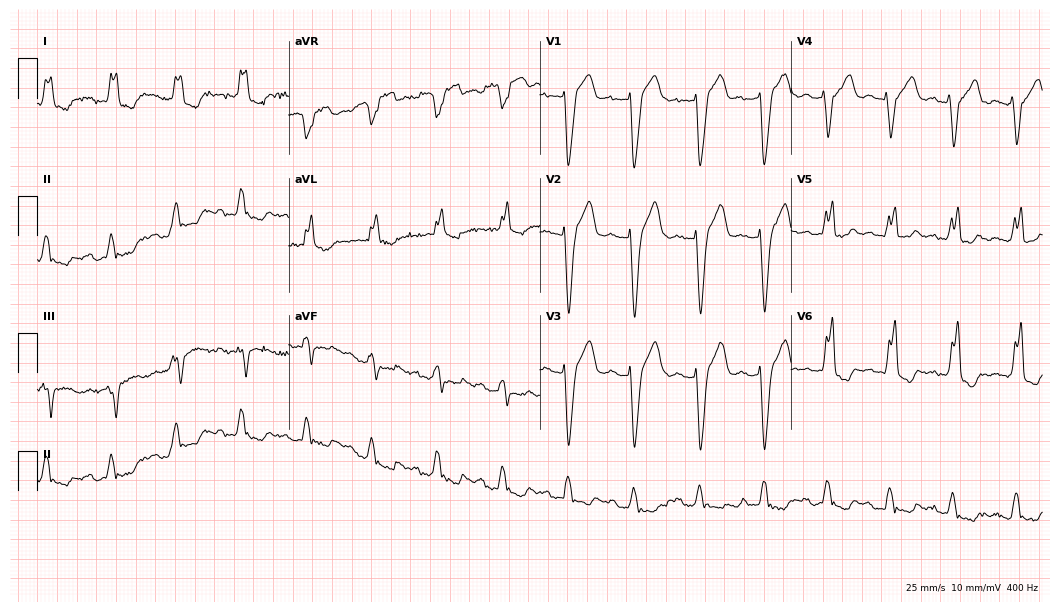
12-lead ECG (10.2-second recording at 400 Hz) from an 82-year-old female patient. Findings include left bundle branch block.